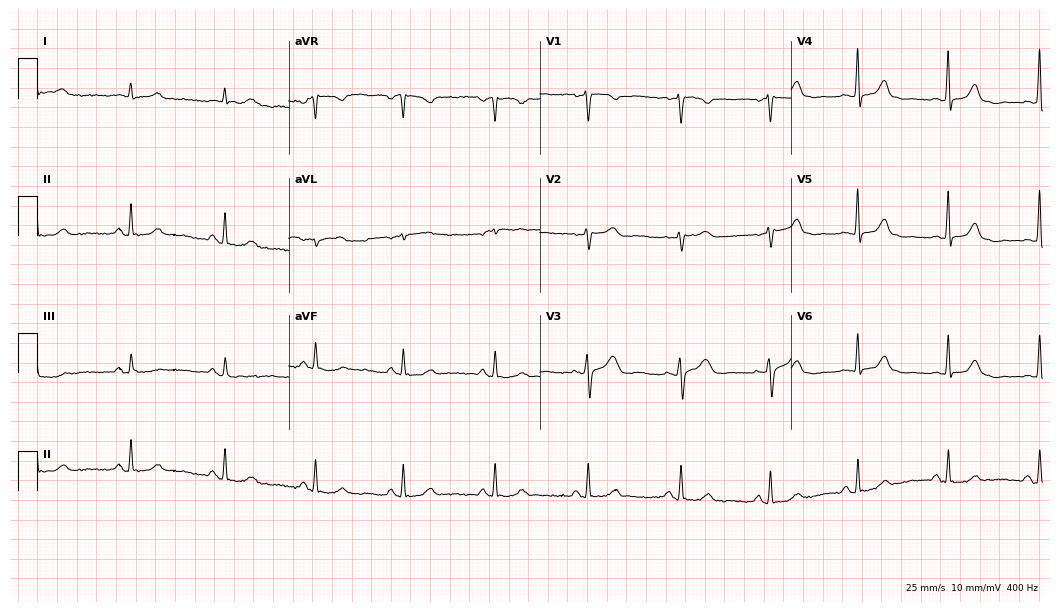
Resting 12-lead electrocardiogram (10.2-second recording at 400 Hz). Patient: a 61-year-old female. Read as a normal ECG.